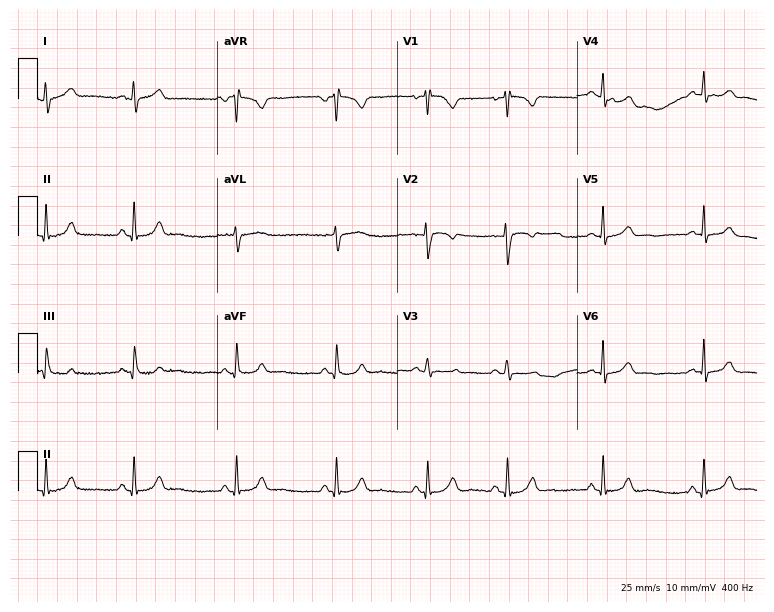
12-lead ECG from a woman, 23 years old (7.3-second recording at 400 Hz). Recorded interpretation: within normal limits.